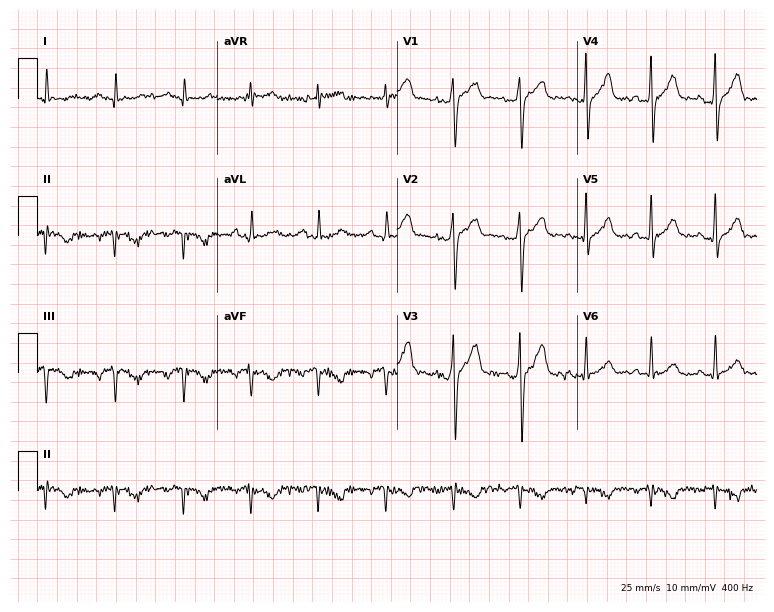
Electrocardiogram, a male, 39 years old. Of the six screened findings (first-degree AV block, right bundle branch block (RBBB), left bundle branch block (LBBB), sinus bradycardia, atrial fibrillation (AF), sinus tachycardia), none is recorded. Findings outside these six are not listed.